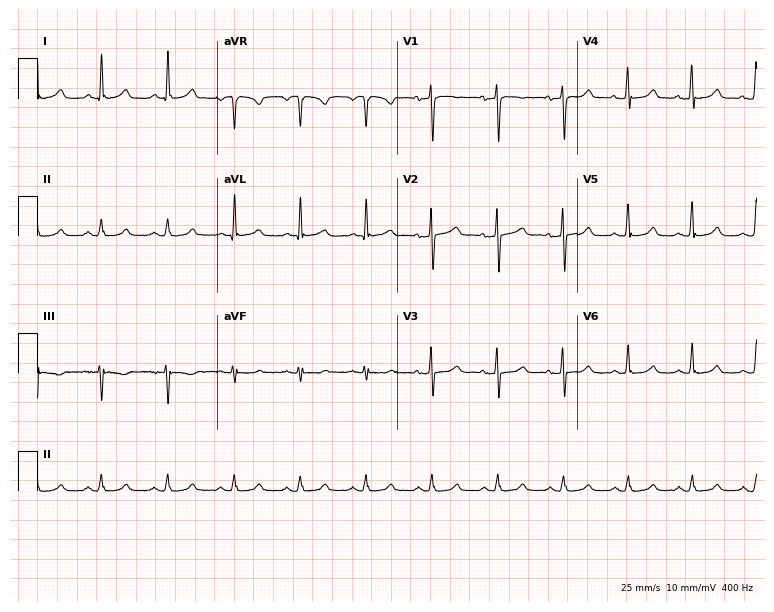
Electrocardiogram (7.3-second recording at 400 Hz), a 49-year-old woman. Overall reading on record: normal ECG.